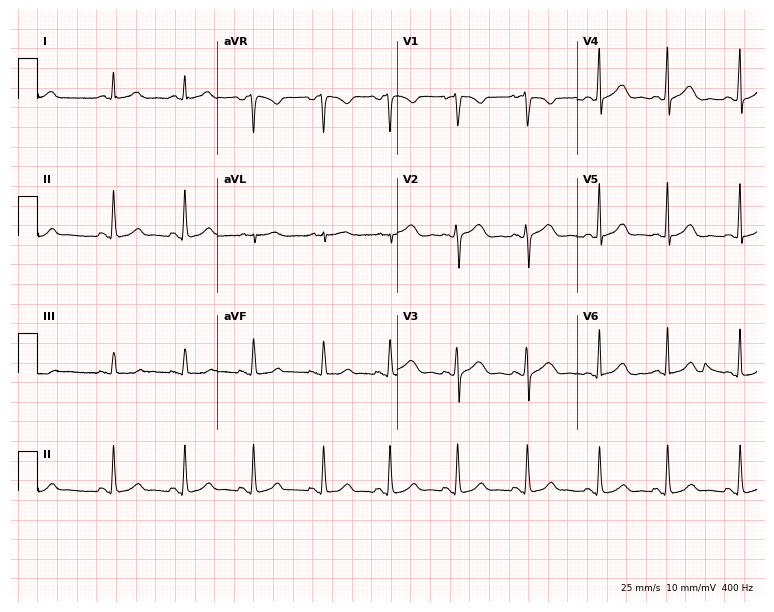
Electrocardiogram, a female, 32 years old. Overall reading on record: normal ECG.